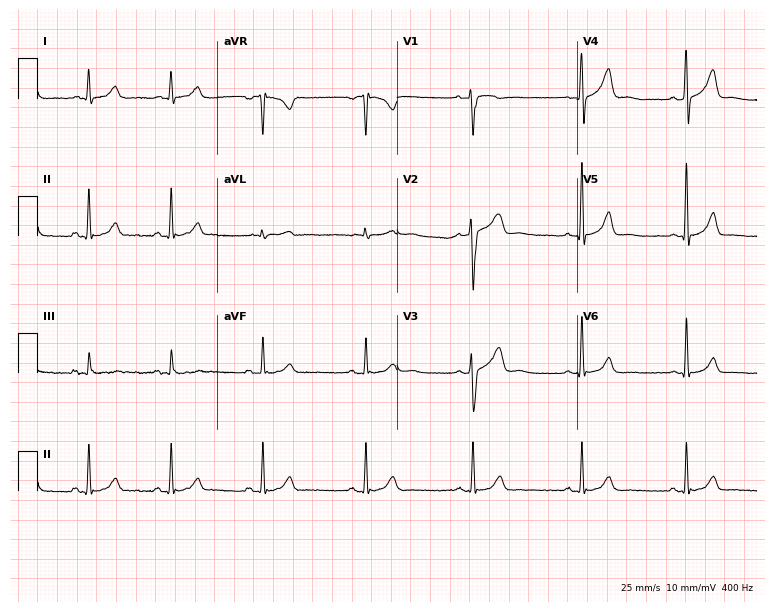
Electrocardiogram (7.3-second recording at 400 Hz), a male, 37 years old. Of the six screened findings (first-degree AV block, right bundle branch block (RBBB), left bundle branch block (LBBB), sinus bradycardia, atrial fibrillation (AF), sinus tachycardia), none is recorded.